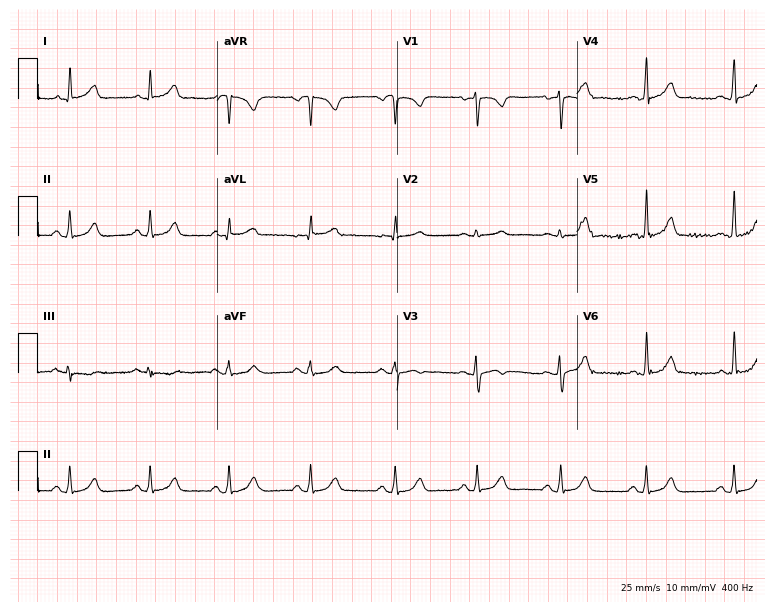
Electrocardiogram (7.3-second recording at 400 Hz), a female, 38 years old. Overall reading on record: normal ECG.